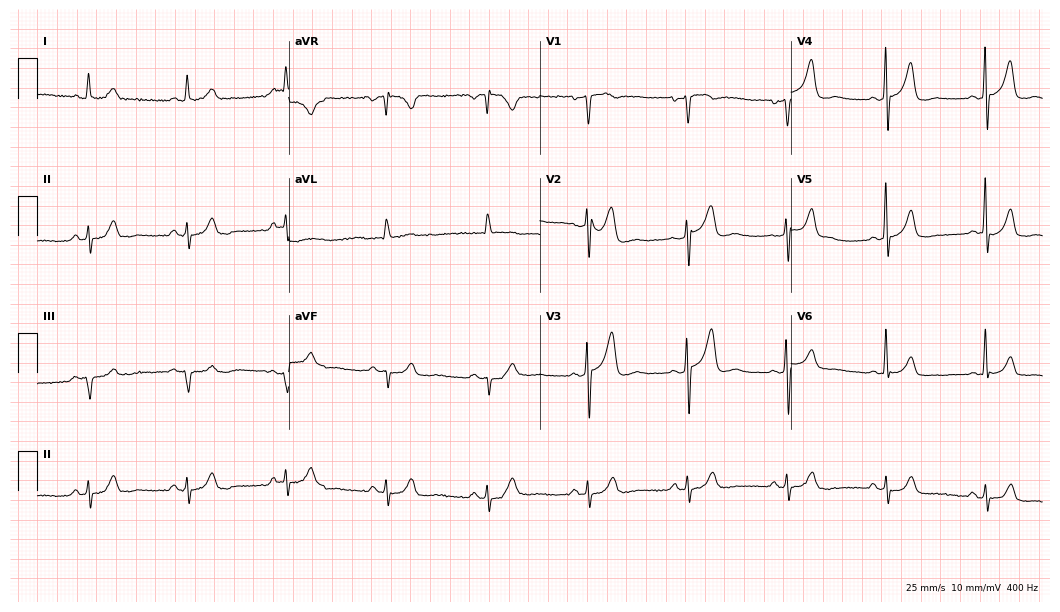
12-lead ECG from a man, 35 years old. Labelled as a normal ECG.